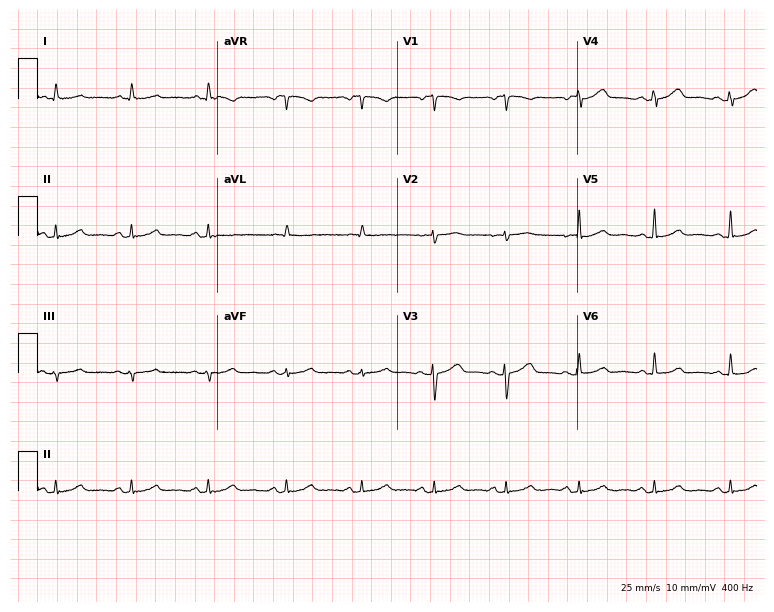
12-lead ECG from a 50-year-old female. Recorded interpretation: within normal limits.